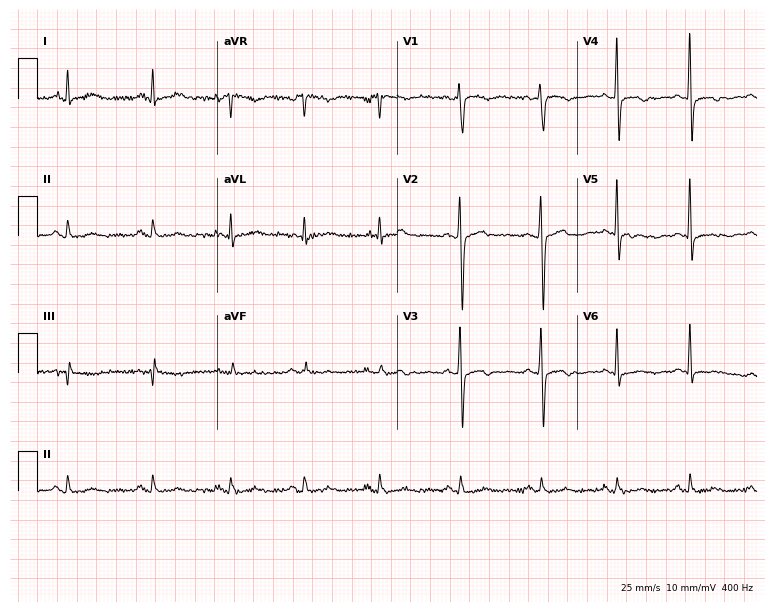
Resting 12-lead electrocardiogram. Patient: a 50-year-old woman. None of these six findings is recorded: first-degree AV block, right bundle branch block, left bundle branch block, sinus bradycardia, atrial fibrillation, sinus tachycardia. Findings outside these six are not listed.